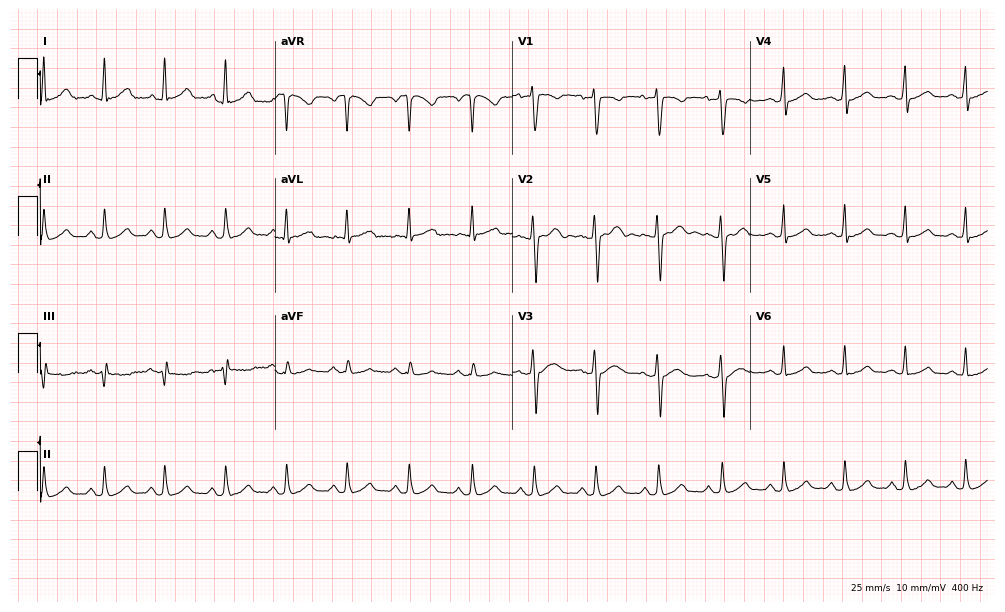
Electrocardiogram (9.7-second recording at 400 Hz), a 24-year-old woman. Overall reading on record: normal ECG.